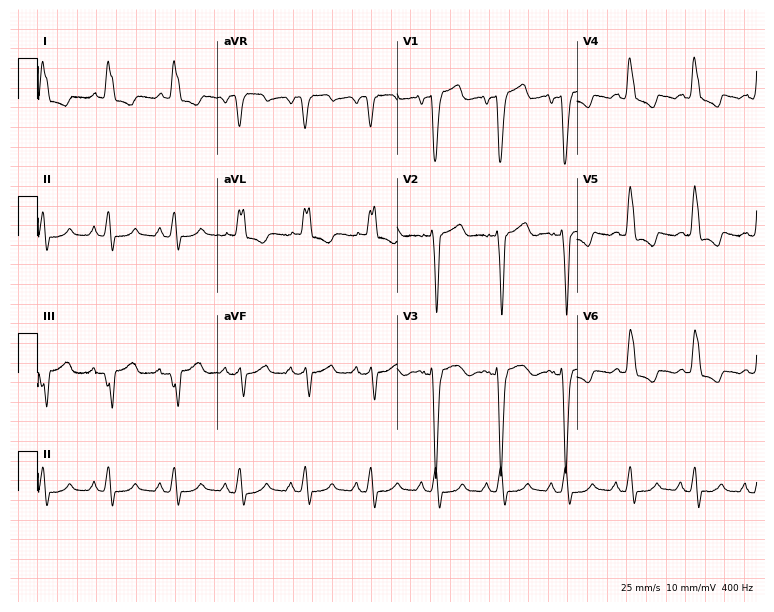
Standard 12-lead ECG recorded from a female patient, 70 years old (7.3-second recording at 400 Hz). The tracing shows left bundle branch block (LBBB).